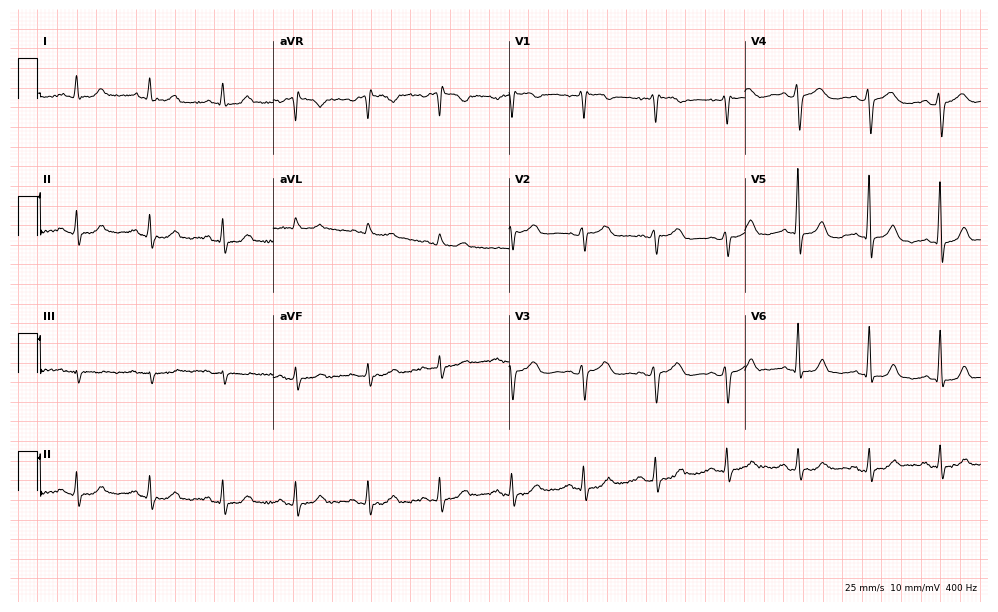
Resting 12-lead electrocardiogram. Patient: a 54-year-old female. None of these six findings is recorded: first-degree AV block, right bundle branch block (RBBB), left bundle branch block (LBBB), sinus bradycardia, atrial fibrillation (AF), sinus tachycardia.